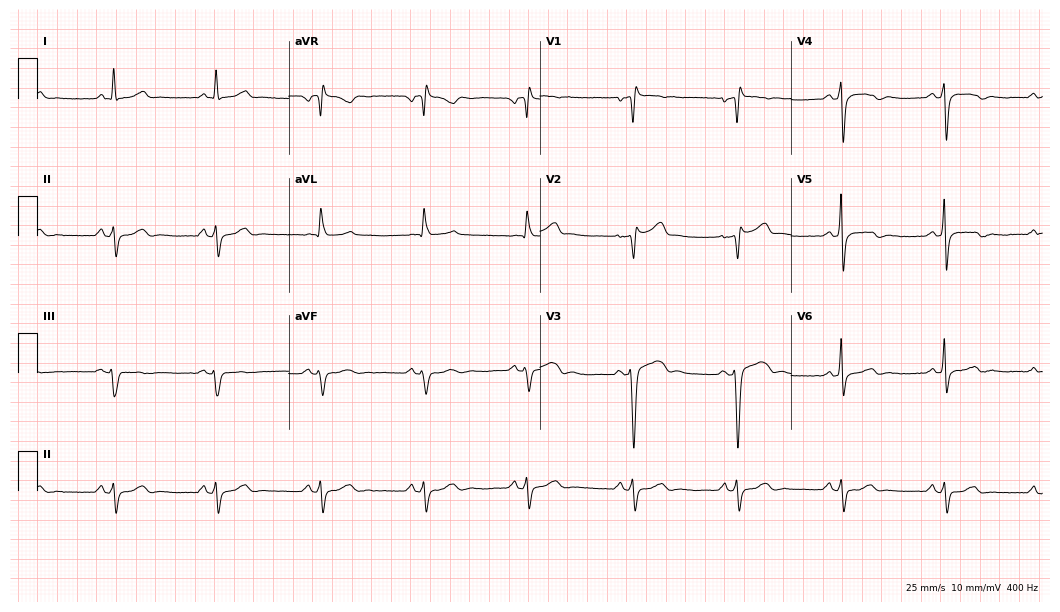
12-lead ECG (10.2-second recording at 400 Hz) from a male patient, 59 years old. Screened for six findings — first-degree AV block, right bundle branch block, left bundle branch block, sinus bradycardia, atrial fibrillation, sinus tachycardia — none is recorded.